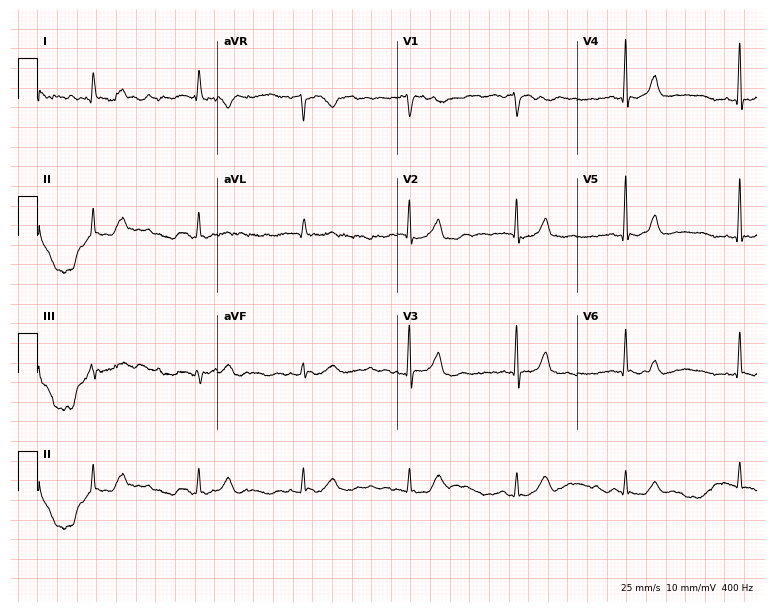
ECG (7.3-second recording at 400 Hz) — a 69-year-old woman. Labelled as a normal ECG.